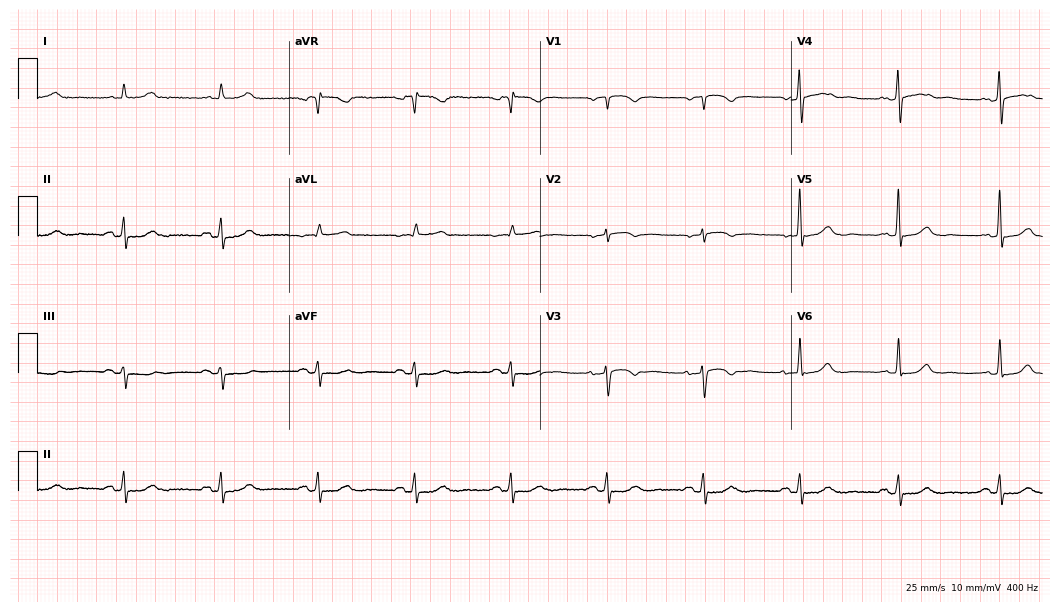
Standard 12-lead ECG recorded from a man, 80 years old (10.2-second recording at 400 Hz). Read as a normal ECG.